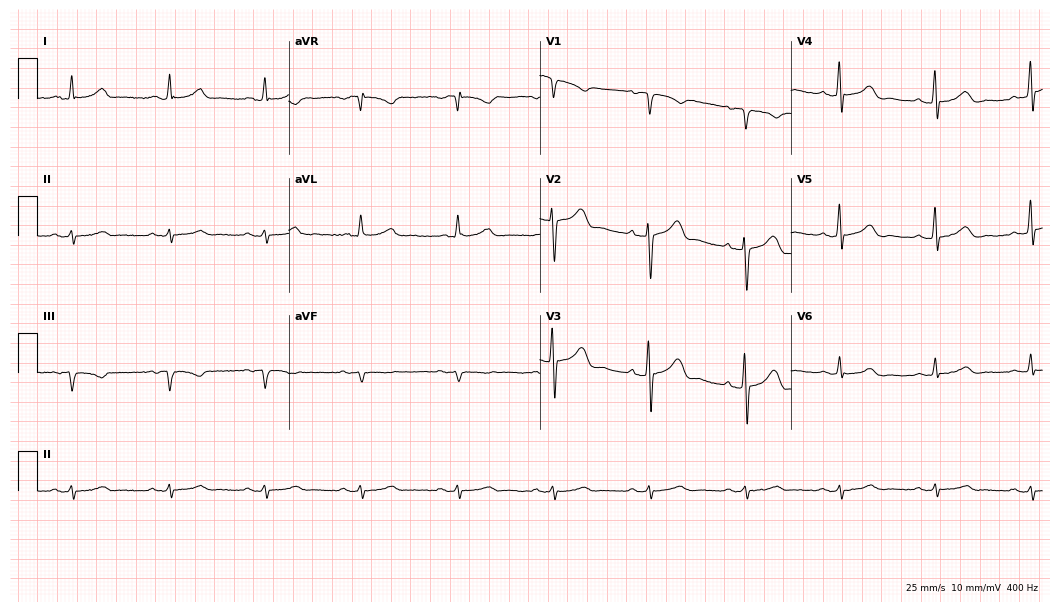
Electrocardiogram (10.2-second recording at 400 Hz), a male patient, 65 years old. Of the six screened findings (first-degree AV block, right bundle branch block, left bundle branch block, sinus bradycardia, atrial fibrillation, sinus tachycardia), none is recorded. Other findings, if any, are not listed.